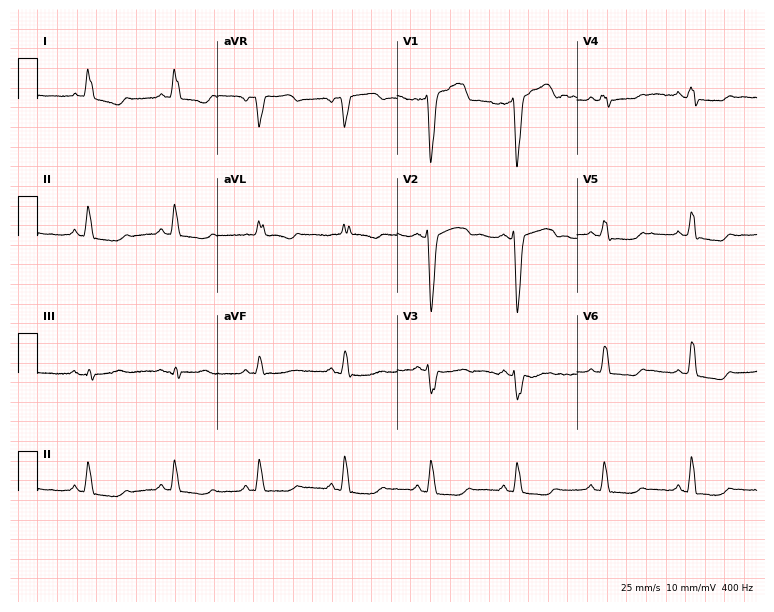
12-lead ECG from a 79-year-old female. Shows left bundle branch block.